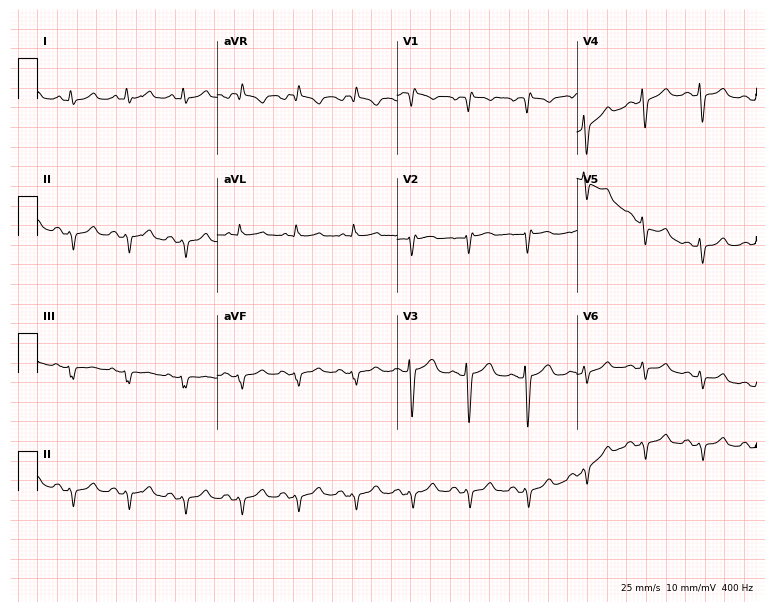
ECG (7.3-second recording at 400 Hz) — a 53-year-old female. Findings include sinus tachycardia (a sinus rate of 100 beats per minute or more).